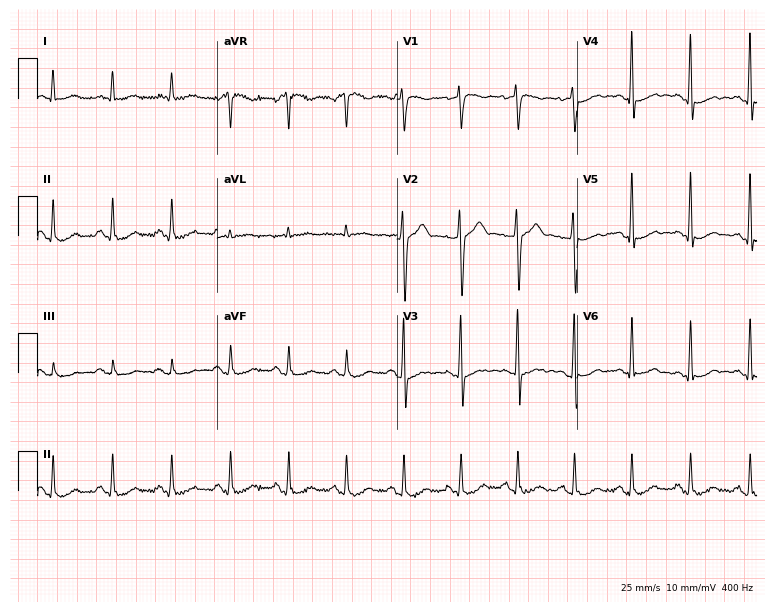
ECG — a man, 52 years old. Screened for six findings — first-degree AV block, right bundle branch block, left bundle branch block, sinus bradycardia, atrial fibrillation, sinus tachycardia — none is recorded. Findings outside these six are not listed.